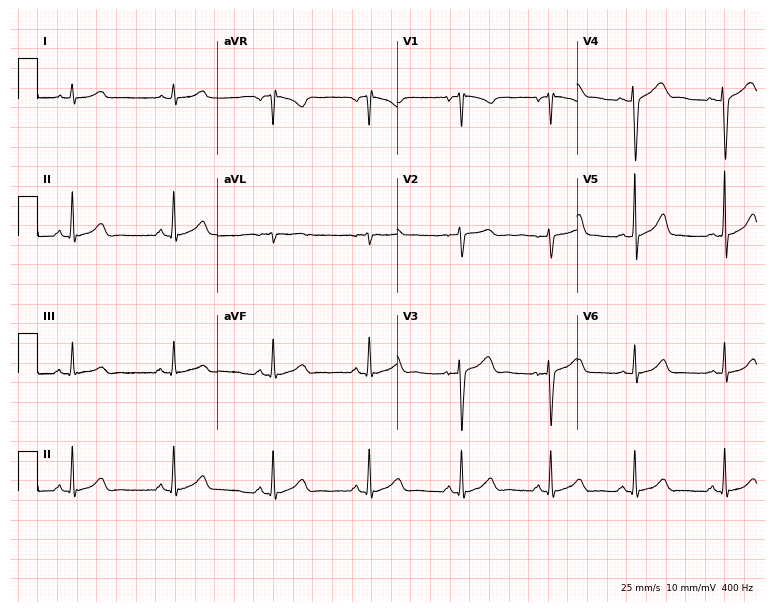
Resting 12-lead electrocardiogram. Patient: a 23-year-old woman. Read as a normal ECG.